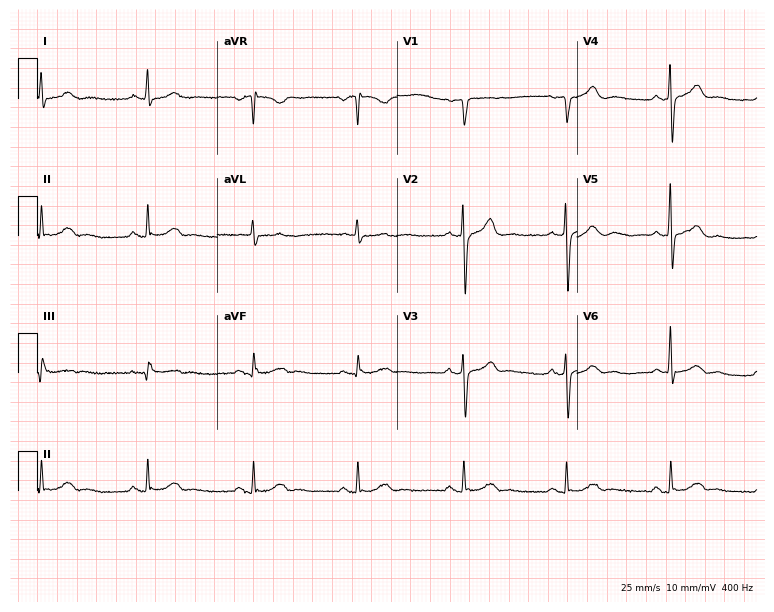
12-lead ECG (7.3-second recording at 400 Hz) from a 58-year-old male. Screened for six findings — first-degree AV block, right bundle branch block, left bundle branch block, sinus bradycardia, atrial fibrillation, sinus tachycardia — none is recorded. Only these six findings were labelled.